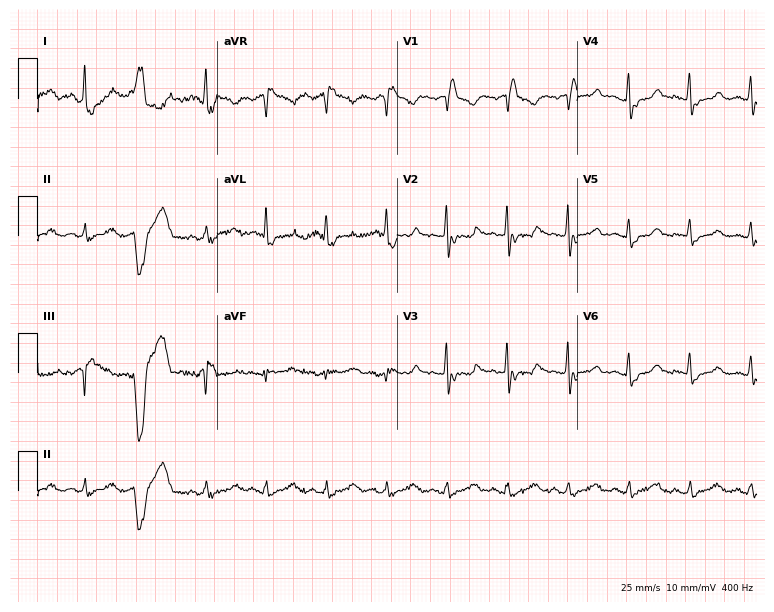
Resting 12-lead electrocardiogram (7.3-second recording at 400 Hz). Patient: a male, 62 years old. The tracing shows right bundle branch block (RBBB).